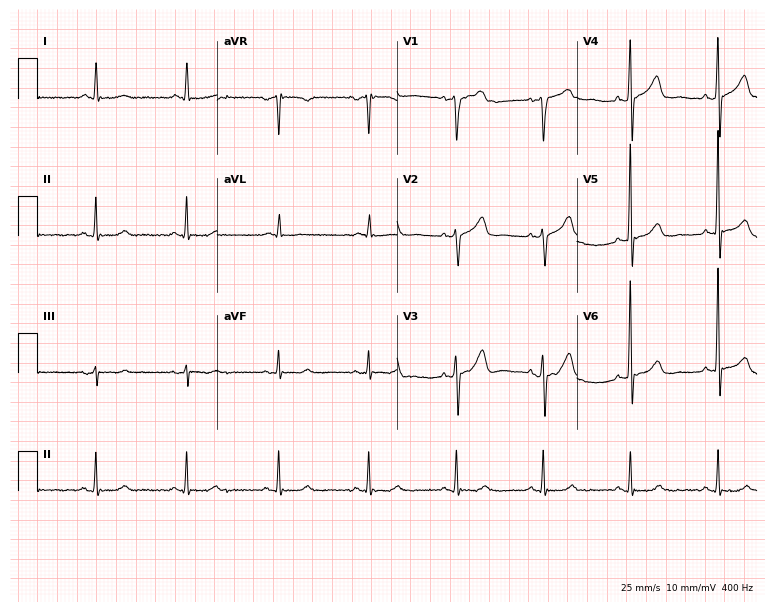
Standard 12-lead ECG recorded from a male, 70 years old (7.3-second recording at 400 Hz). None of these six findings is recorded: first-degree AV block, right bundle branch block, left bundle branch block, sinus bradycardia, atrial fibrillation, sinus tachycardia.